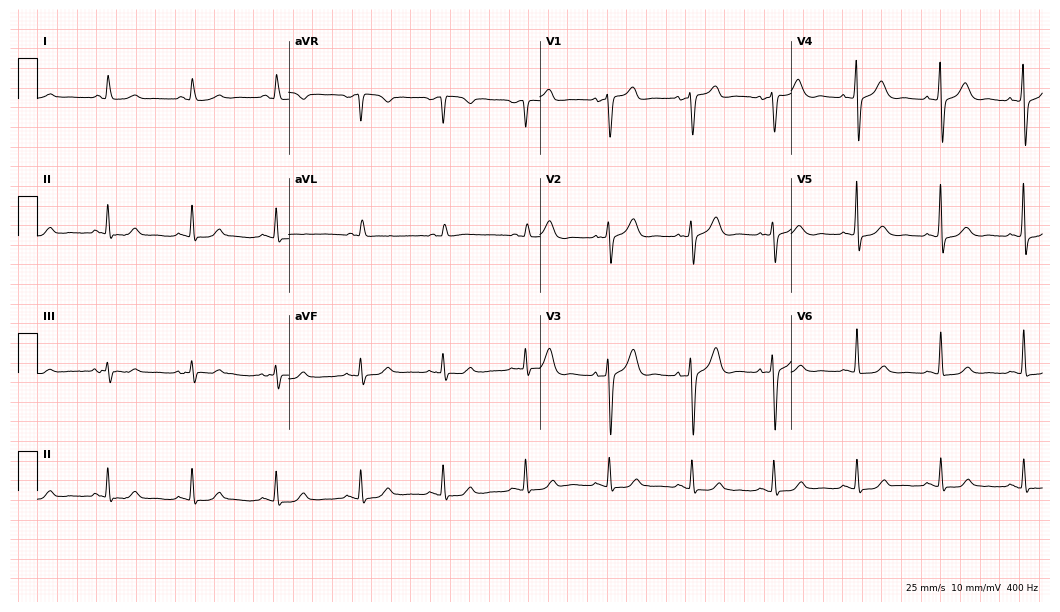
Resting 12-lead electrocardiogram. Patient: a 74-year-old female. Read as a normal ECG.